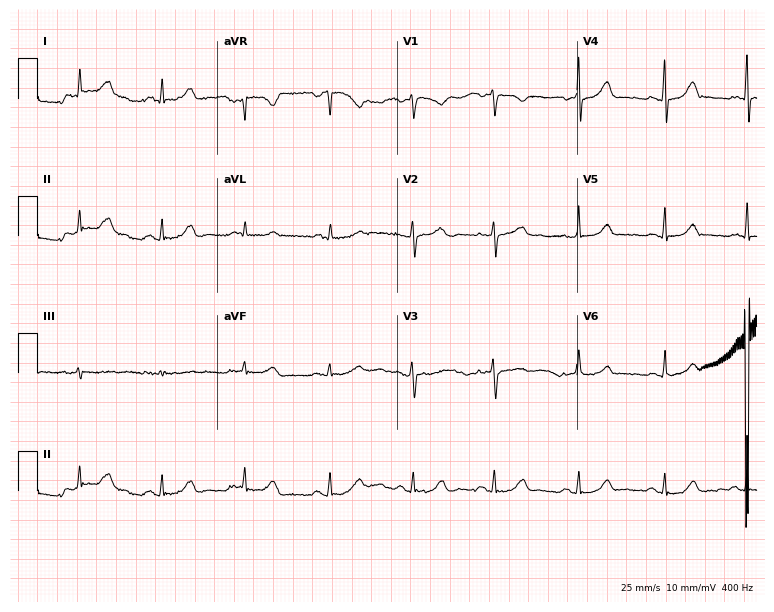
ECG (7.3-second recording at 400 Hz) — a 45-year-old female. Labelled as a normal ECG.